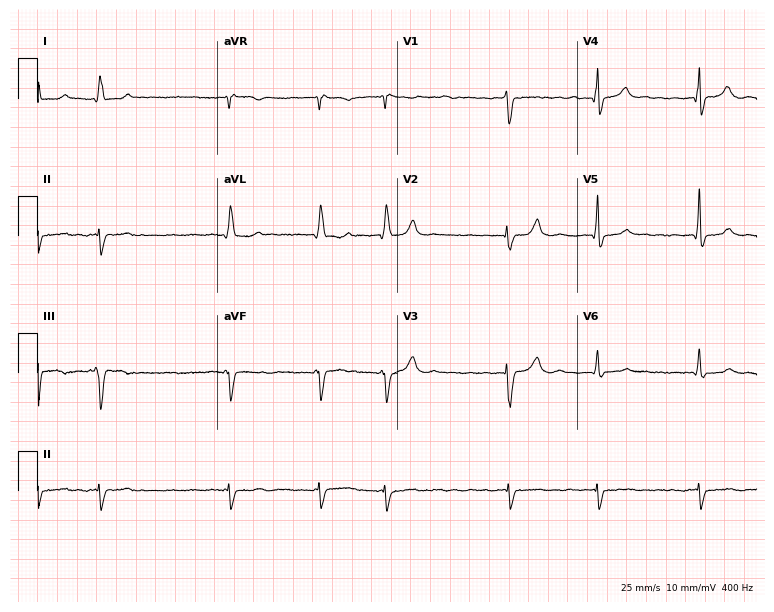
Resting 12-lead electrocardiogram (7.3-second recording at 400 Hz). Patient: an 83-year-old female. The tracing shows atrial fibrillation (AF).